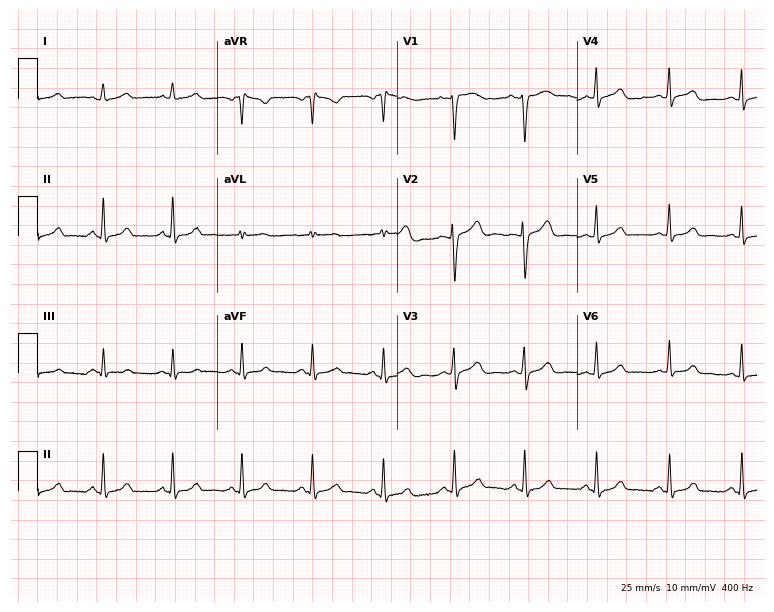
ECG (7.3-second recording at 400 Hz) — a female, 47 years old. Screened for six findings — first-degree AV block, right bundle branch block (RBBB), left bundle branch block (LBBB), sinus bradycardia, atrial fibrillation (AF), sinus tachycardia — none is recorded. Other findings, if any, are not listed.